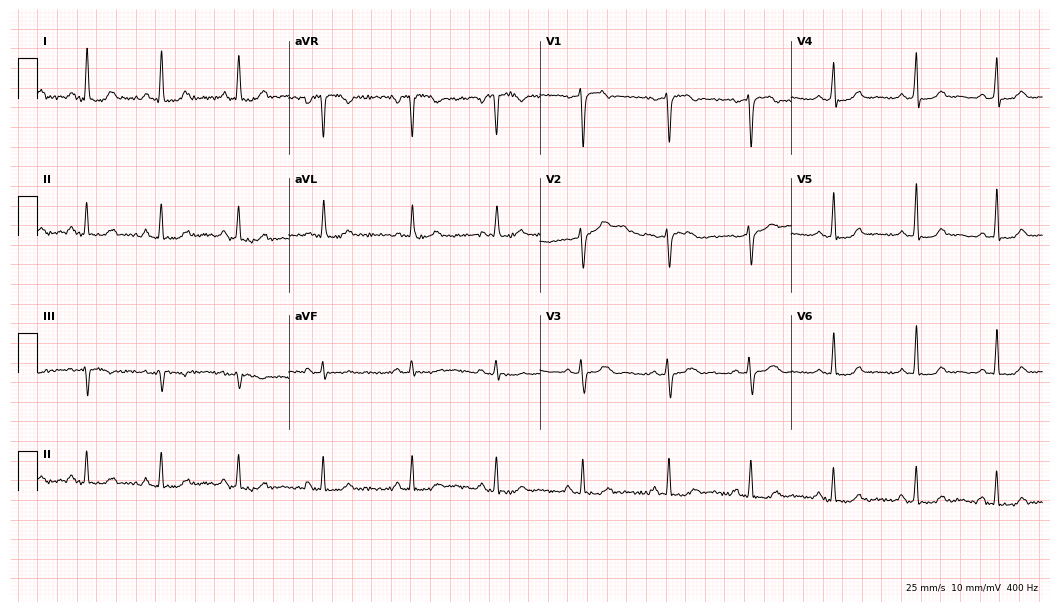
ECG (10.2-second recording at 400 Hz) — a female patient, 57 years old. Labelled as a normal ECG.